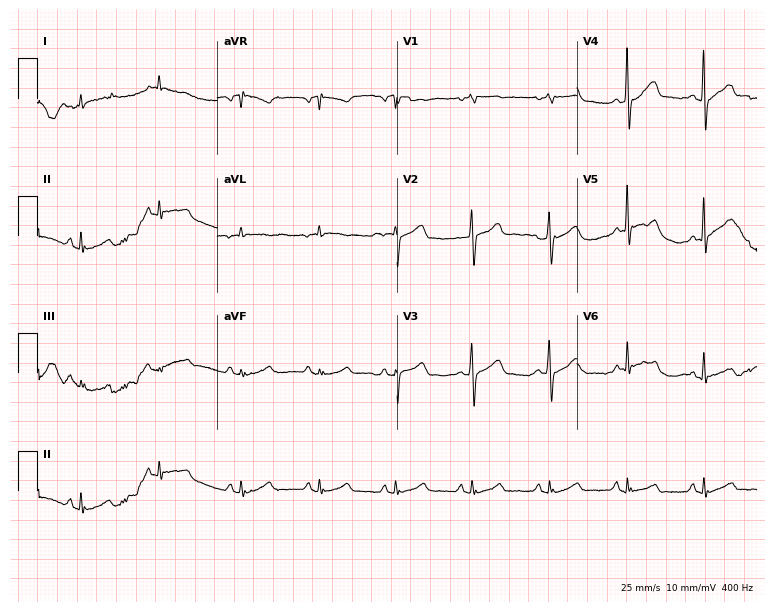
Resting 12-lead electrocardiogram. Patient: an 84-year-old male. Read as a normal ECG.